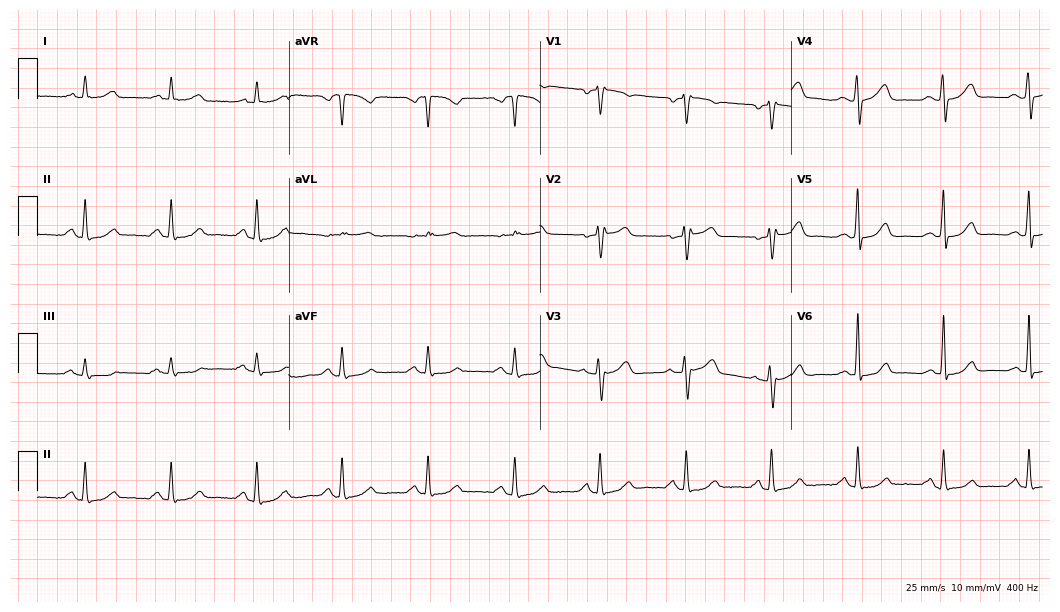
Standard 12-lead ECG recorded from a 79-year-old female patient (10.2-second recording at 400 Hz). None of these six findings is recorded: first-degree AV block, right bundle branch block (RBBB), left bundle branch block (LBBB), sinus bradycardia, atrial fibrillation (AF), sinus tachycardia.